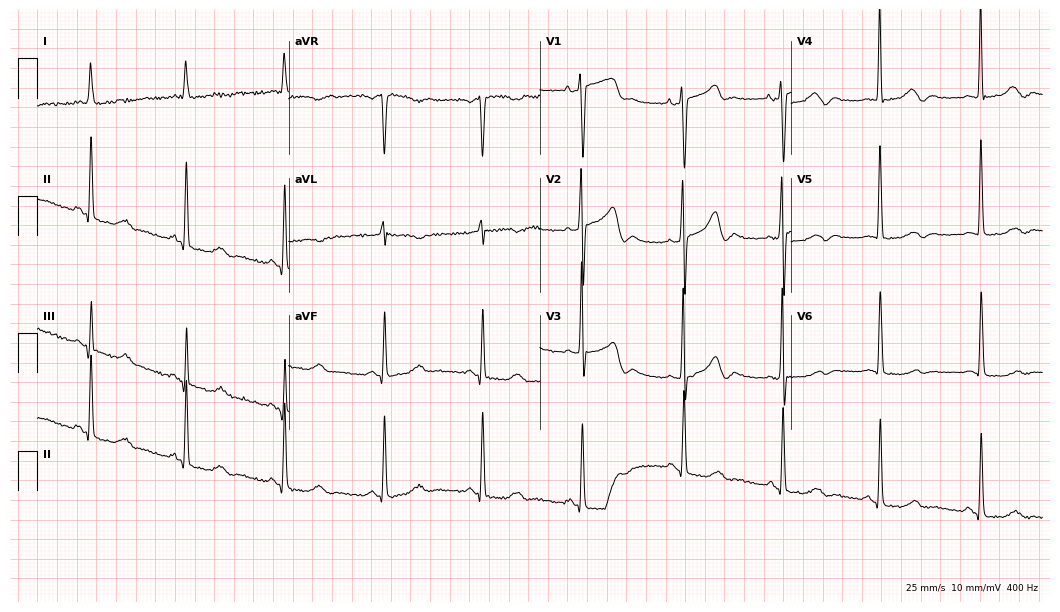
Electrocardiogram, a female patient, 71 years old. Of the six screened findings (first-degree AV block, right bundle branch block (RBBB), left bundle branch block (LBBB), sinus bradycardia, atrial fibrillation (AF), sinus tachycardia), none is recorded. Other findings, if any, are not listed.